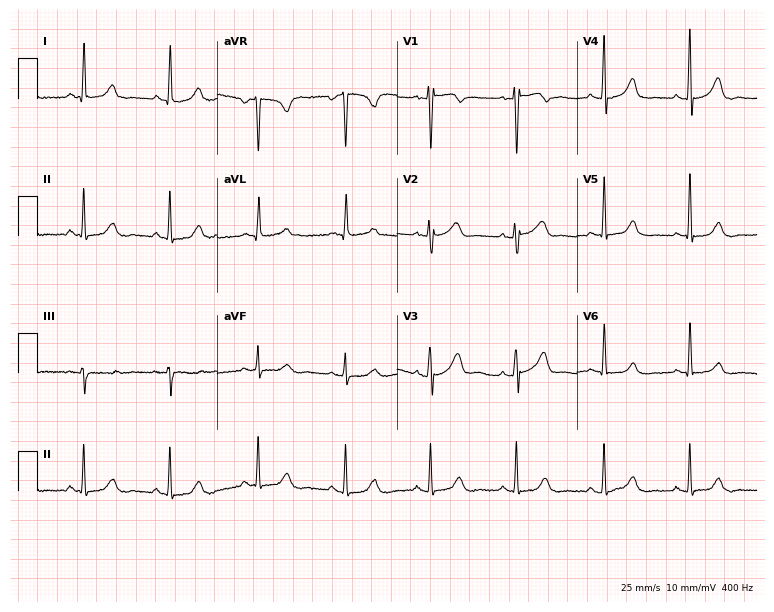
12-lead ECG from a 47-year-old female patient. Recorded interpretation: within normal limits.